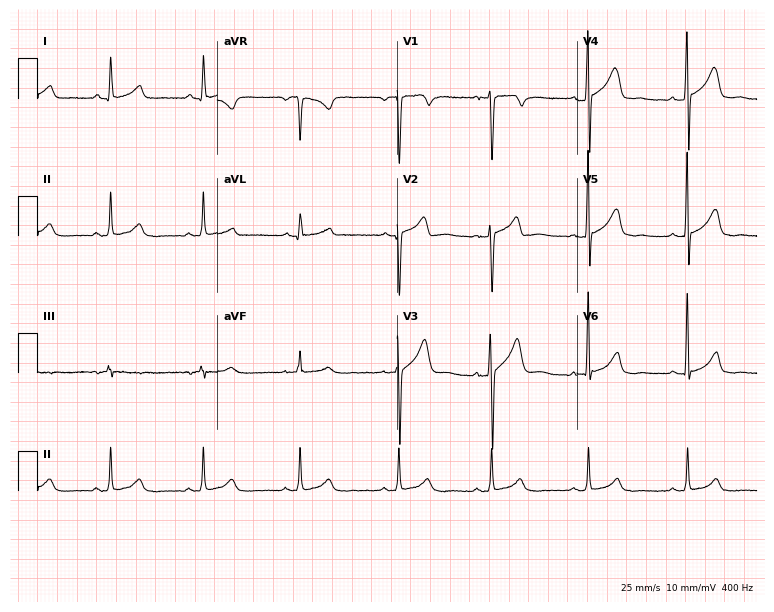
Standard 12-lead ECG recorded from a 37-year-old male. None of these six findings is recorded: first-degree AV block, right bundle branch block, left bundle branch block, sinus bradycardia, atrial fibrillation, sinus tachycardia.